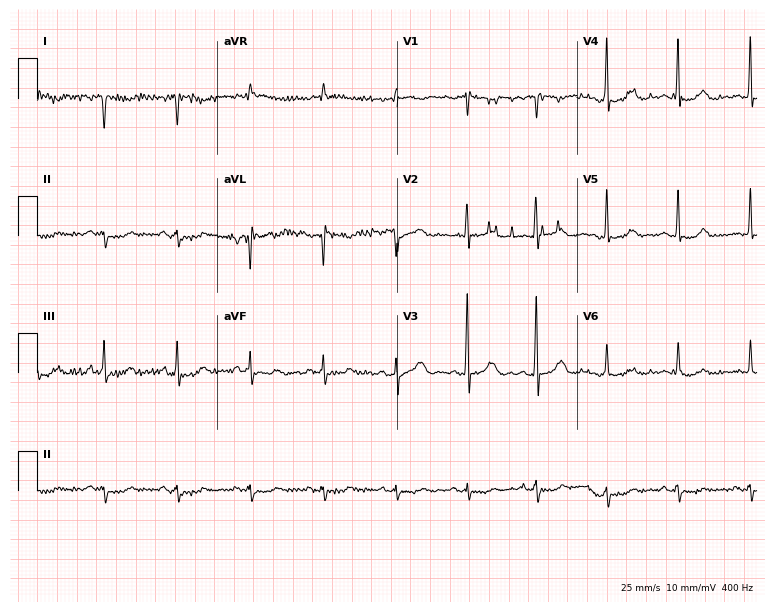
Resting 12-lead electrocardiogram (7.3-second recording at 400 Hz). Patient: a 55-year-old woman. None of these six findings is recorded: first-degree AV block, right bundle branch block, left bundle branch block, sinus bradycardia, atrial fibrillation, sinus tachycardia. Other findings, if any, are not listed.